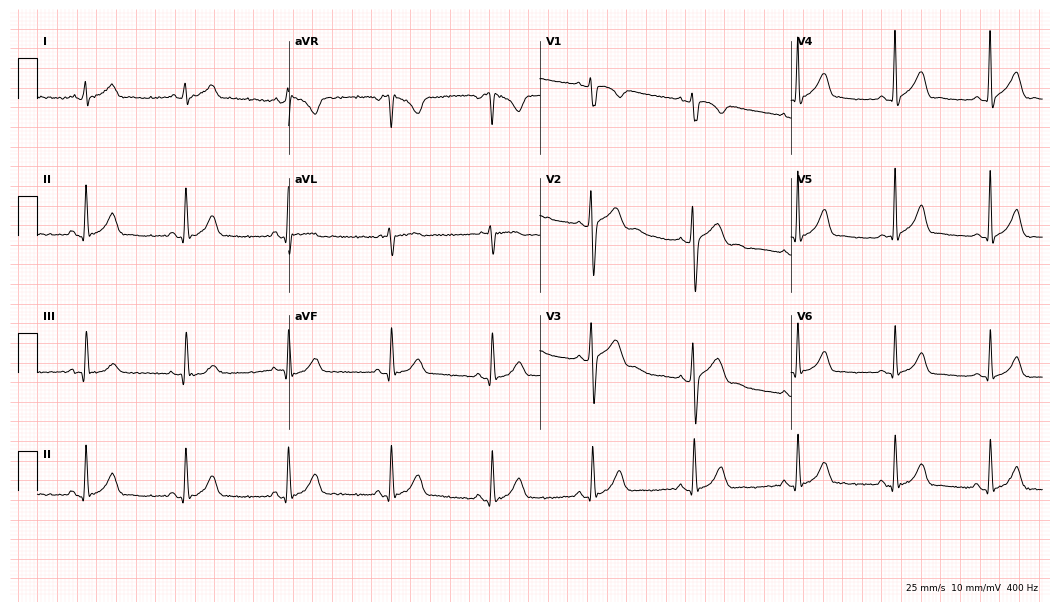
Resting 12-lead electrocardiogram. Patient: a 33-year-old male. Read as a normal ECG.